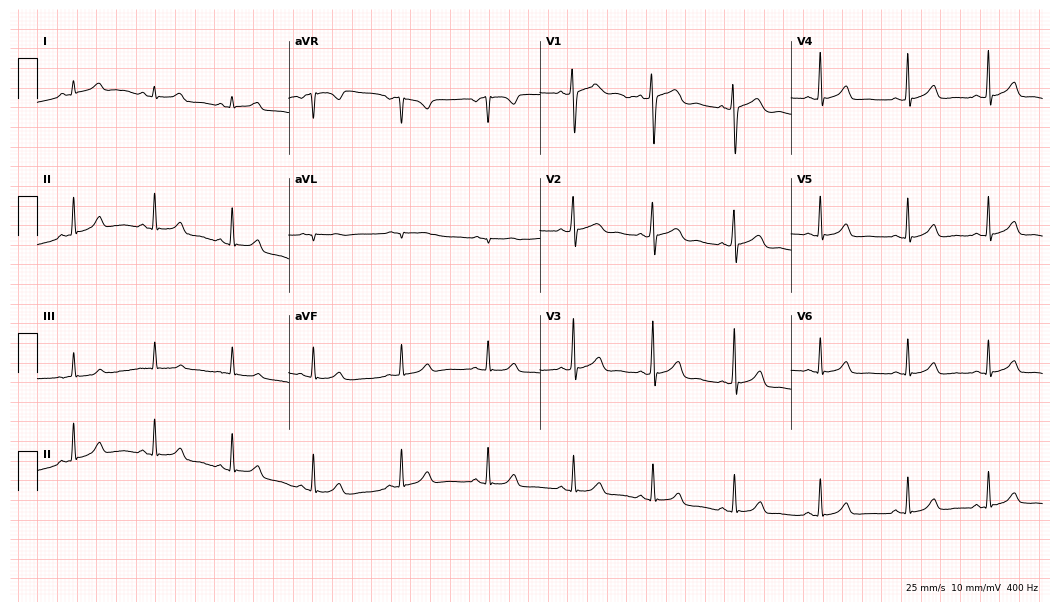
Standard 12-lead ECG recorded from a female, 23 years old (10.2-second recording at 400 Hz). None of these six findings is recorded: first-degree AV block, right bundle branch block, left bundle branch block, sinus bradycardia, atrial fibrillation, sinus tachycardia.